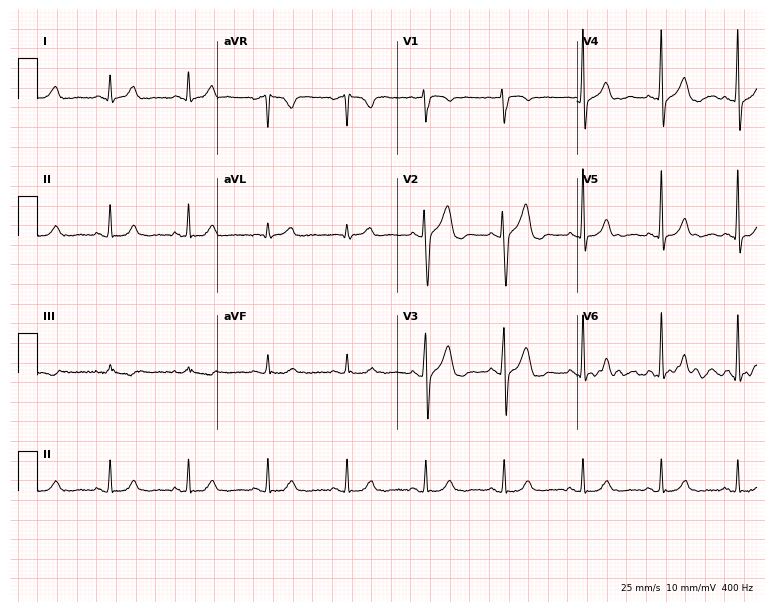
12-lead ECG from a 37-year-old male (7.3-second recording at 400 Hz). Recorded interpretation: within normal limits.